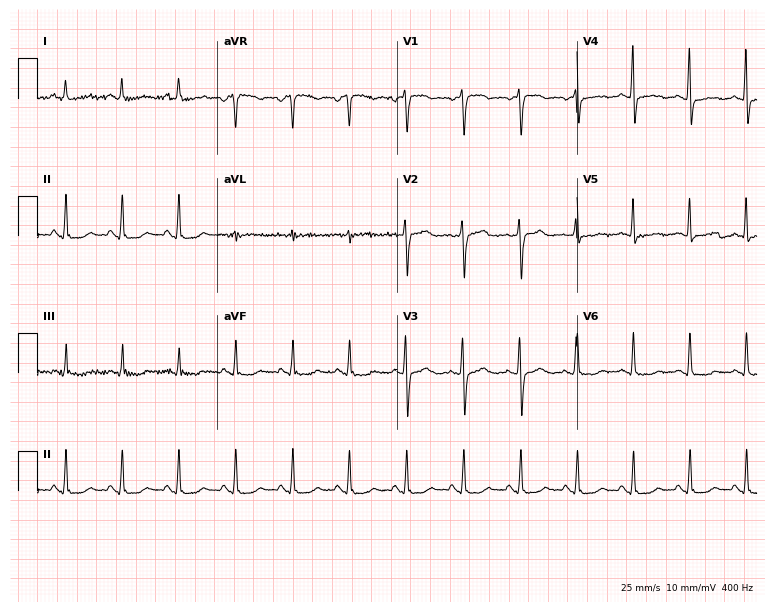
Standard 12-lead ECG recorded from a female patient, 53 years old (7.3-second recording at 400 Hz). The tracing shows sinus tachycardia (a sinus rate of 100 beats per minute or more).